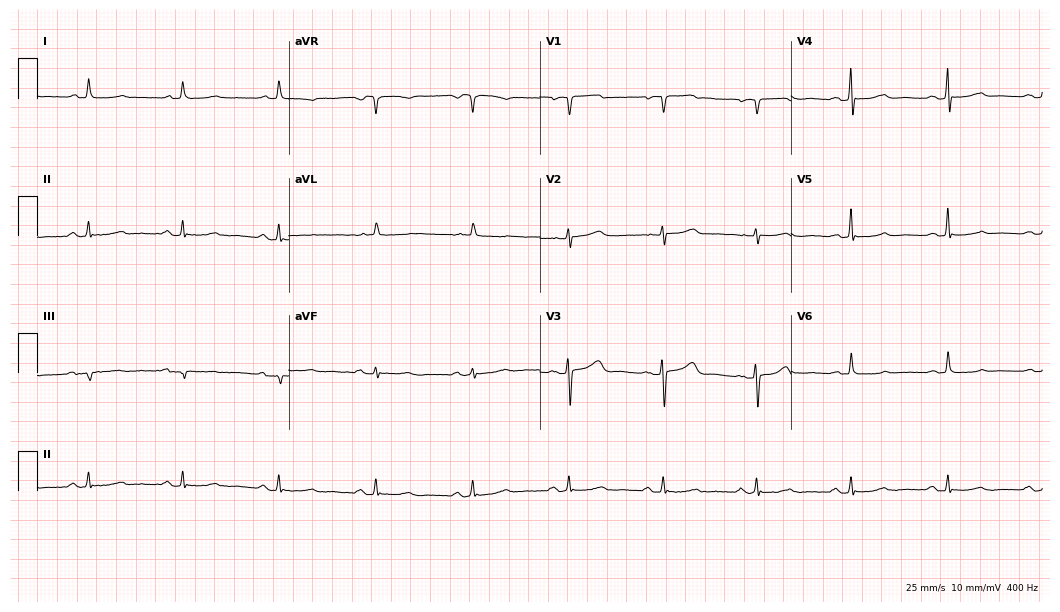
Standard 12-lead ECG recorded from a female, 66 years old (10.2-second recording at 400 Hz). Read as a normal ECG.